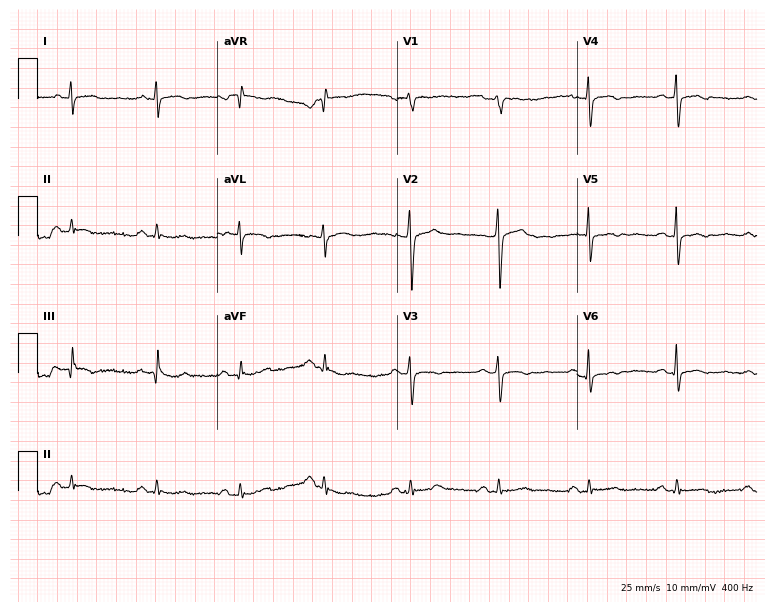
12-lead ECG from a female, 45 years old (7.3-second recording at 400 Hz). No first-degree AV block, right bundle branch block, left bundle branch block, sinus bradycardia, atrial fibrillation or sinus tachycardia recorded for this tracing. Findings outside these six are not listed.